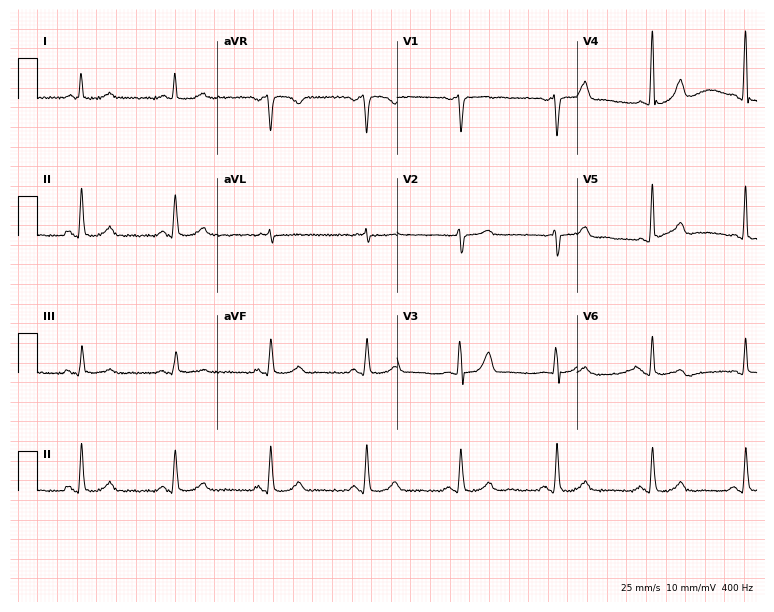
12-lead ECG from a 64-year-old male. Screened for six findings — first-degree AV block, right bundle branch block, left bundle branch block, sinus bradycardia, atrial fibrillation, sinus tachycardia — none is recorded. Findings outside these six are not listed.